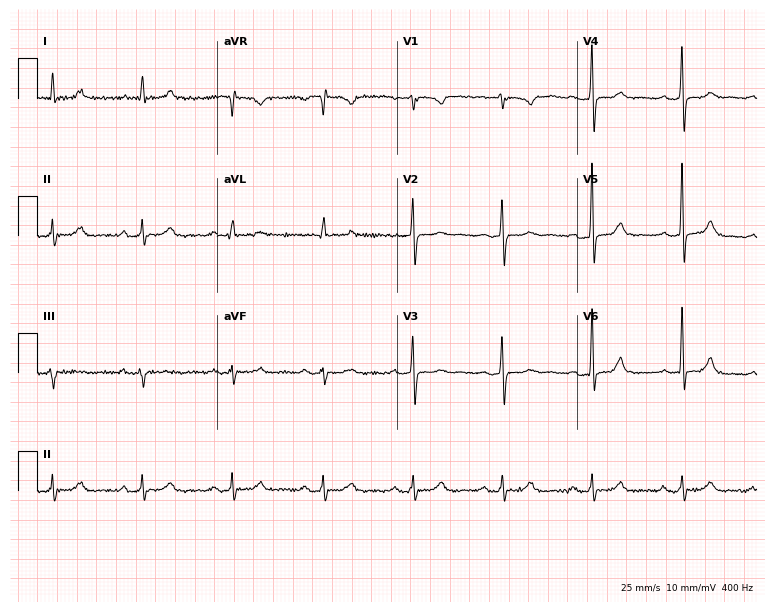
Electrocardiogram, a 54-year-old male patient. Of the six screened findings (first-degree AV block, right bundle branch block, left bundle branch block, sinus bradycardia, atrial fibrillation, sinus tachycardia), none is recorded.